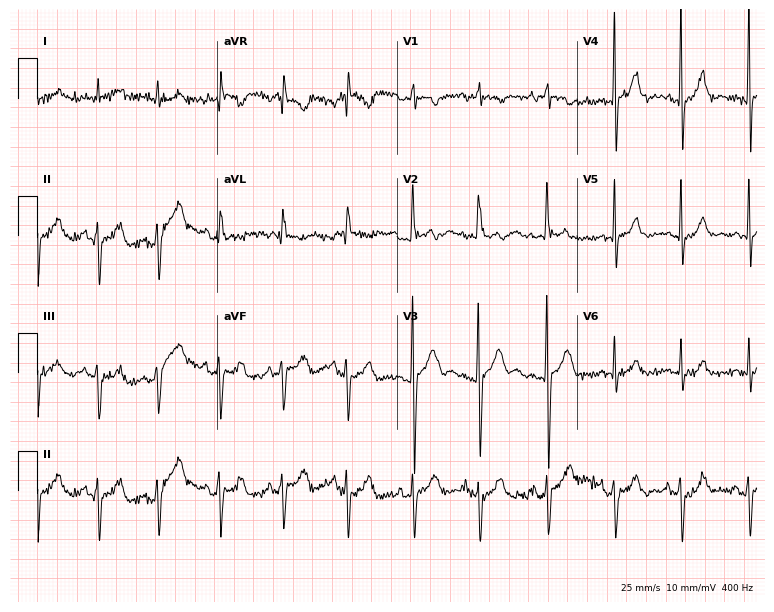
ECG — a 34-year-old male. Screened for six findings — first-degree AV block, right bundle branch block, left bundle branch block, sinus bradycardia, atrial fibrillation, sinus tachycardia — none is recorded. Only these six findings were labelled.